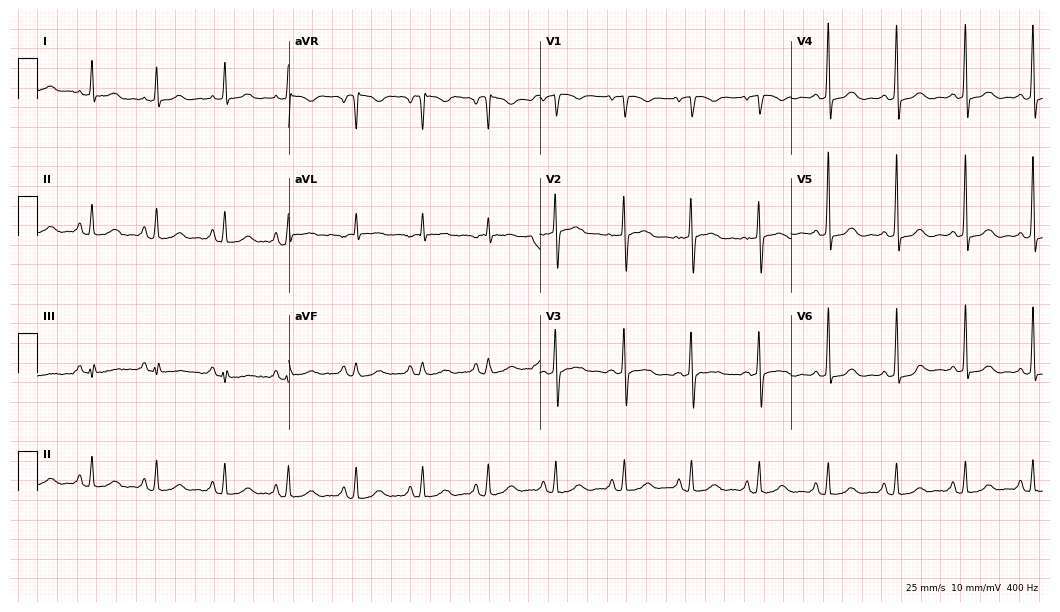
Electrocardiogram (10.2-second recording at 400 Hz), a 66-year-old woman. Of the six screened findings (first-degree AV block, right bundle branch block, left bundle branch block, sinus bradycardia, atrial fibrillation, sinus tachycardia), none is recorded. Only these six findings were labelled.